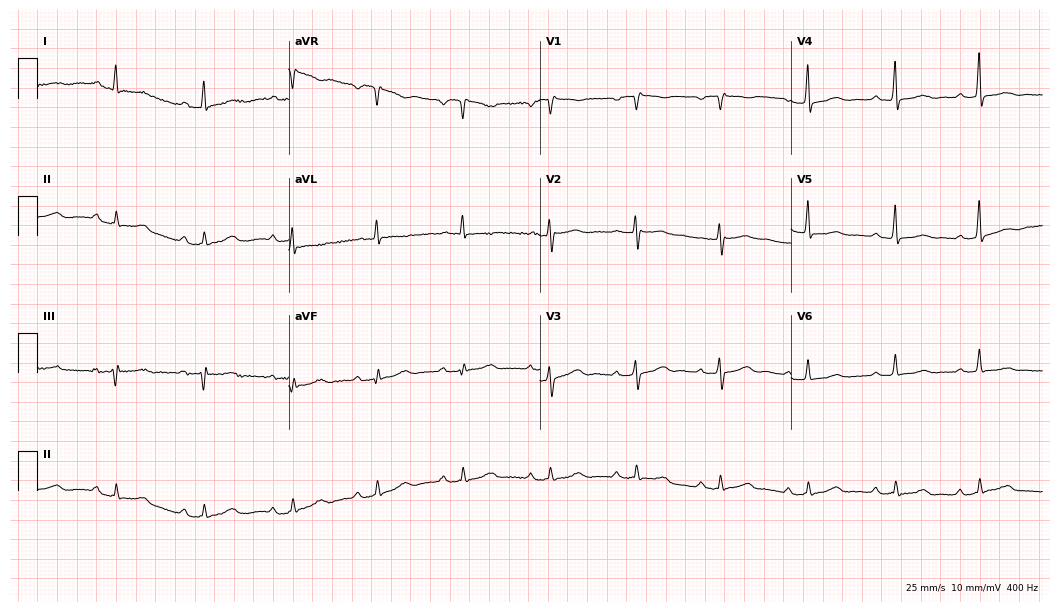
12-lead ECG from a female patient, 54 years old. Findings include first-degree AV block.